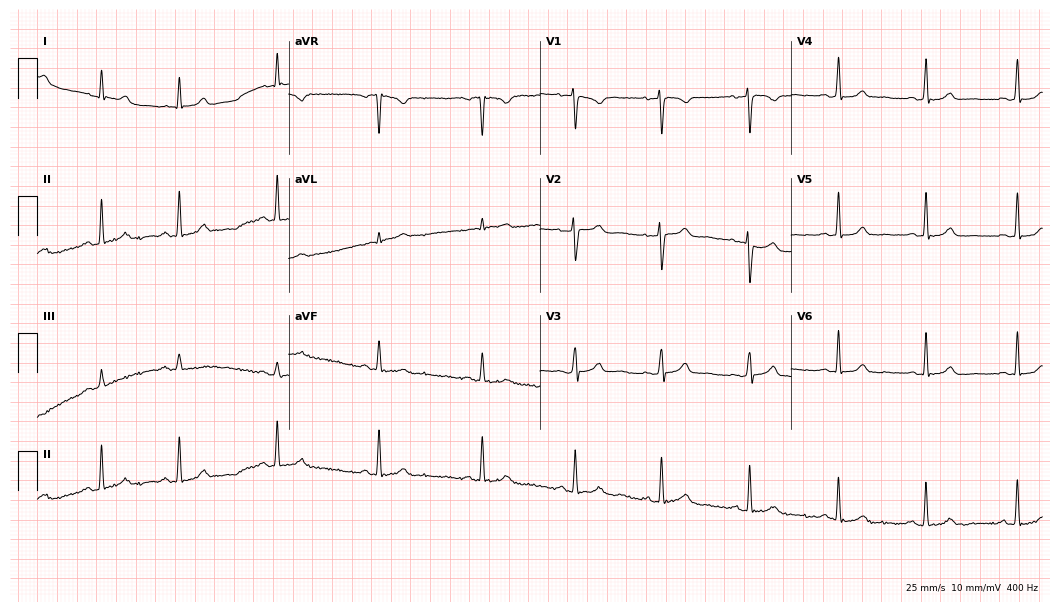
Resting 12-lead electrocardiogram (10.2-second recording at 400 Hz). Patient: a 22-year-old female. Read as a normal ECG.